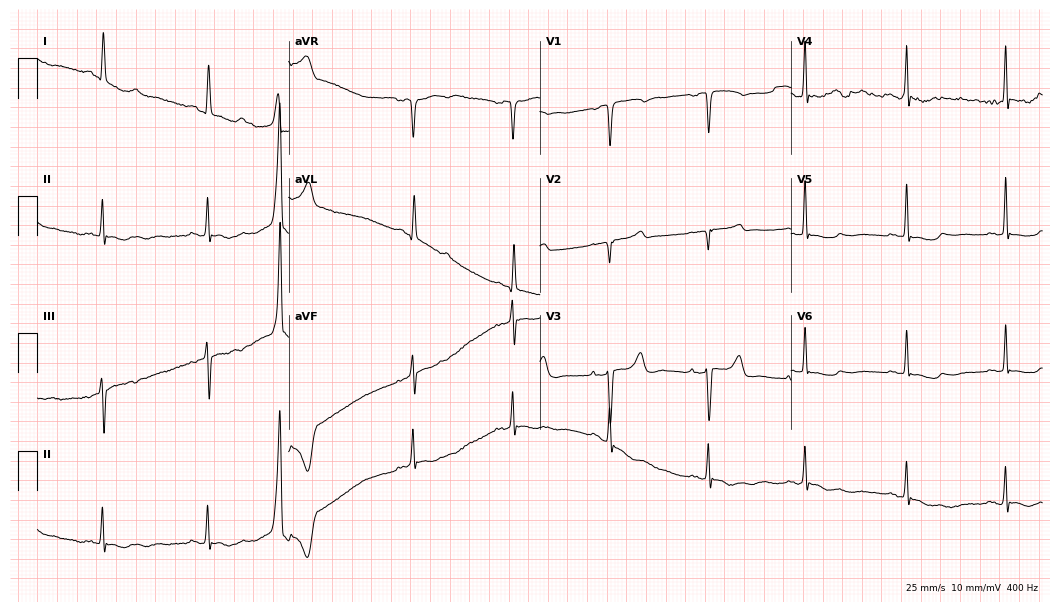
12-lead ECG (10.2-second recording at 400 Hz) from a female, 85 years old. Screened for six findings — first-degree AV block, right bundle branch block, left bundle branch block, sinus bradycardia, atrial fibrillation, sinus tachycardia — none is recorded.